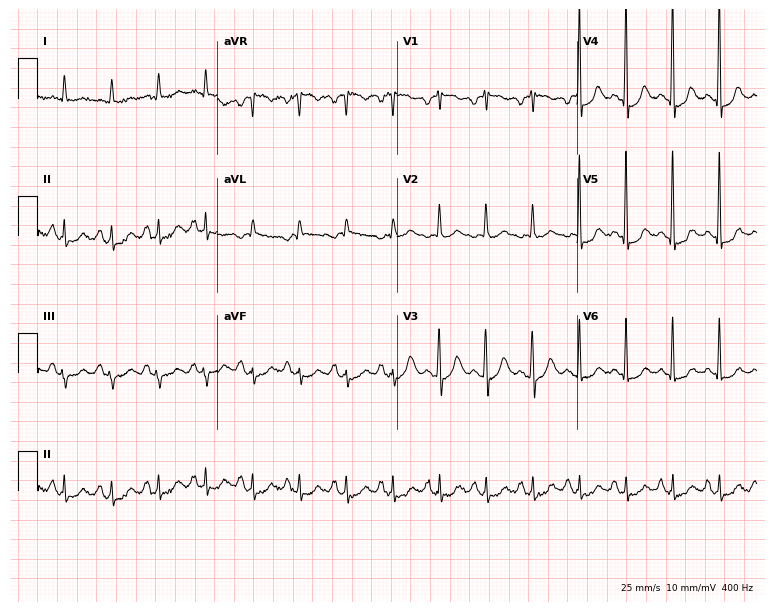
Standard 12-lead ECG recorded from a 72-year-old woman. The tracing shows sinus tachycardia (a sinus rate of 100 beats per minute or more).